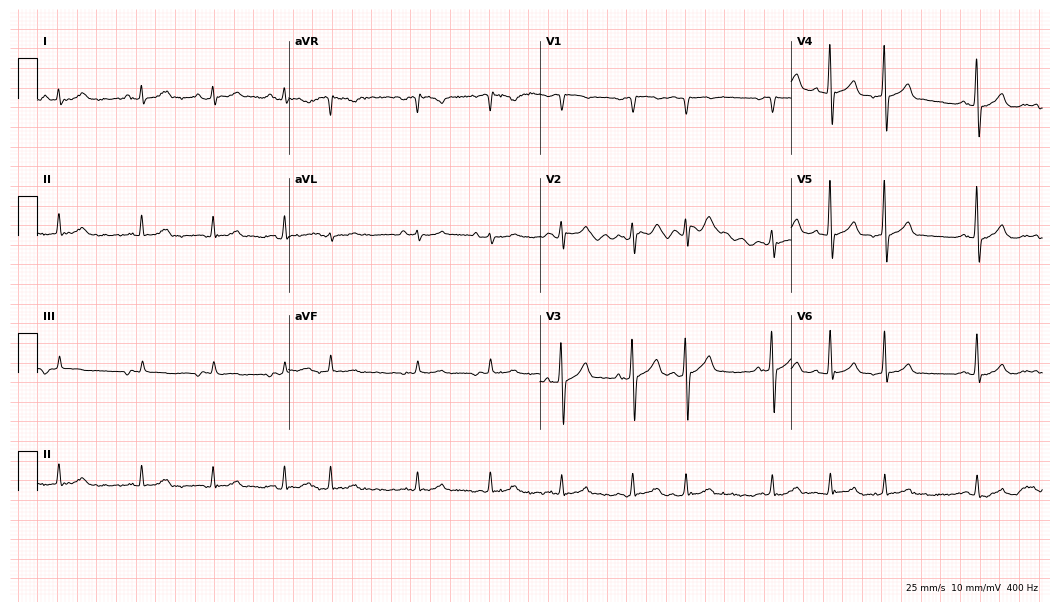
12-lead ECG from a man, 72 years old. Screened for six findings — first-degree AV block, right bundle branch block (RBBB), left bundle branch block (LBBB), sinus bradycardia, atrial fibrillation (AF), sinus tachycardia — none is recorded. Findings outside these six are not listed.